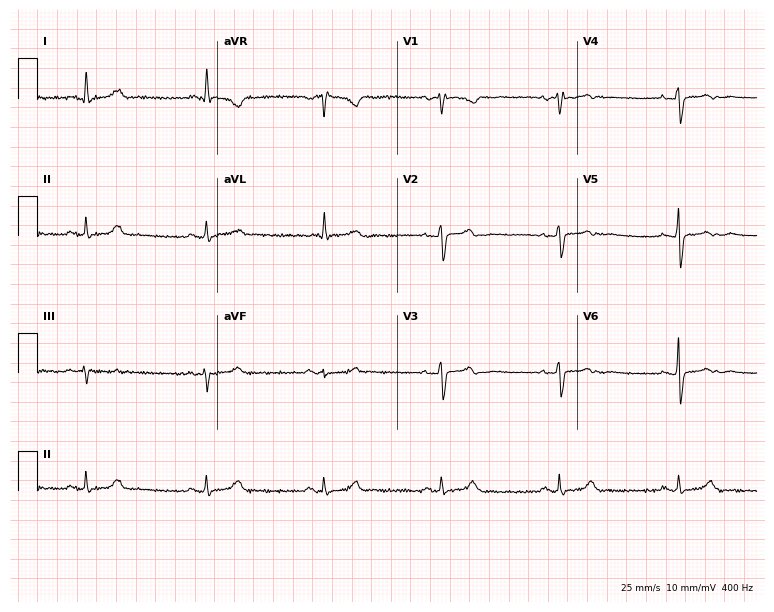
ECG (7.3-second recording at 400 Hz) — a 72-year-old female. Screened for six findings — first-degree AV block, right bundle branch block, left bundle branch block, sinus bradycardia, atrial fibrillation, sinus tachycardia — none is recorded. Other findings, if any, are not listed.